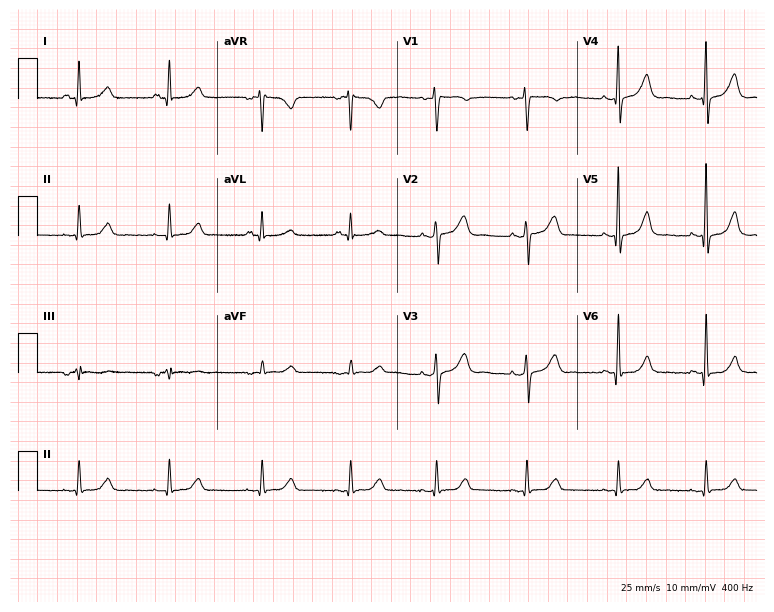
12-lead ECG from a female patient, 50 years old. Recorded interpretation: within normal limits.